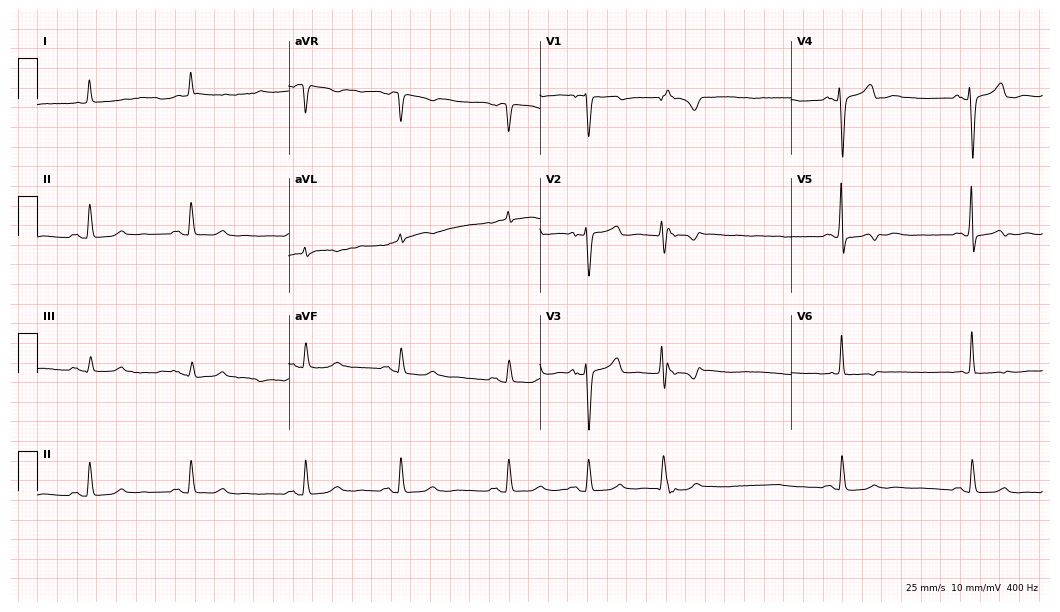
Standard 12-lead ECG recorded from a man, 75 years old (10.2-second recording at 400 Hz). None of these six findings is recorded: first-degree AV block, right bundle branch block, left bundle branch block, sinus bradycardia, atrial fibrillation, sinus tachycardia. Only these six findings were labelled.